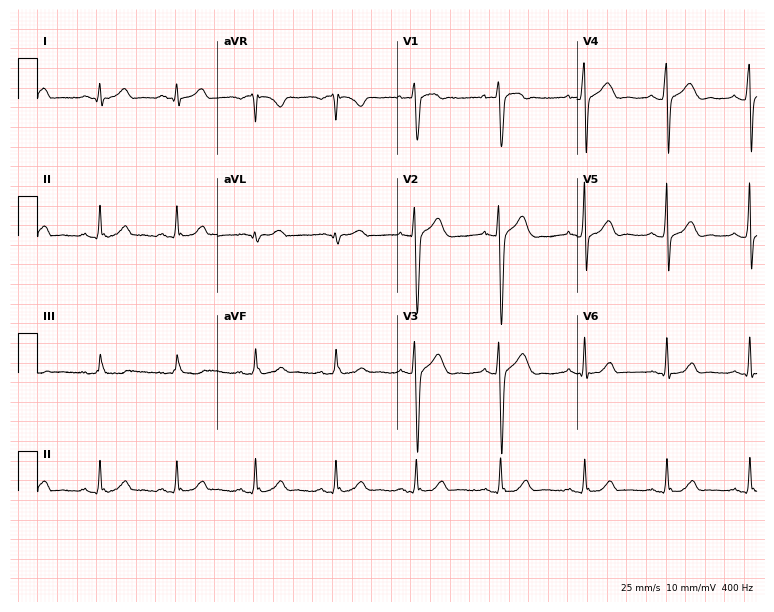
Standard 12-lead ECG recorded from a 33-year-old male (7.3-second recording at 400 Hz). Read as a normal ECG.